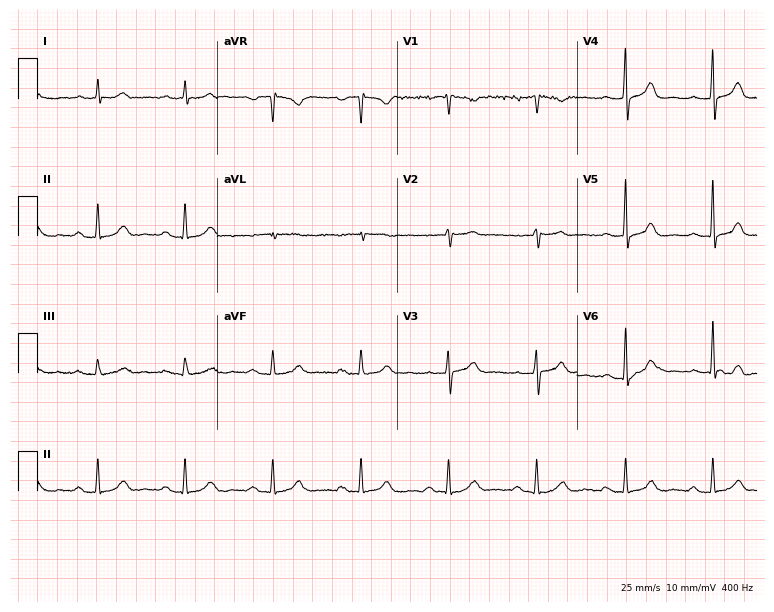
12-lead ECG from a 77-year-old male patient. Shows first-degree AV block.